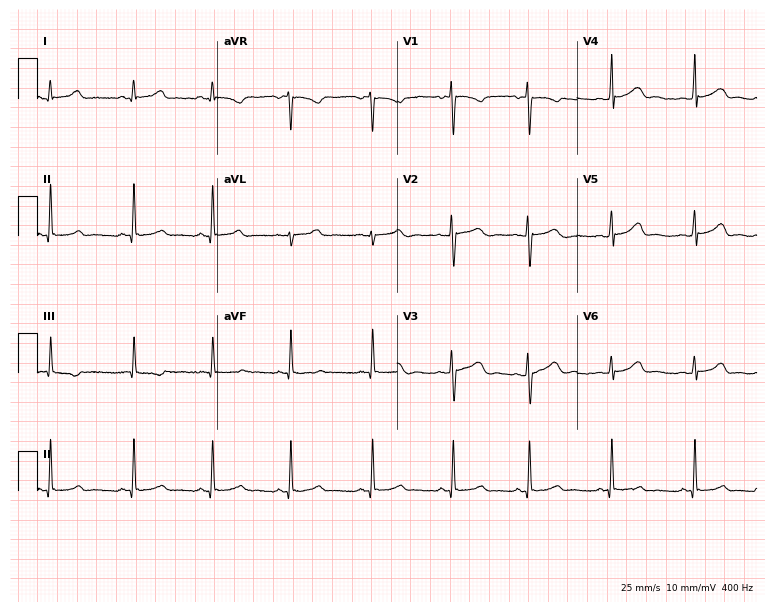
12-lead ECG (7.3-second recording at 400 Hz) from a female patient, 21 years old. Labelled as a normal ECG.